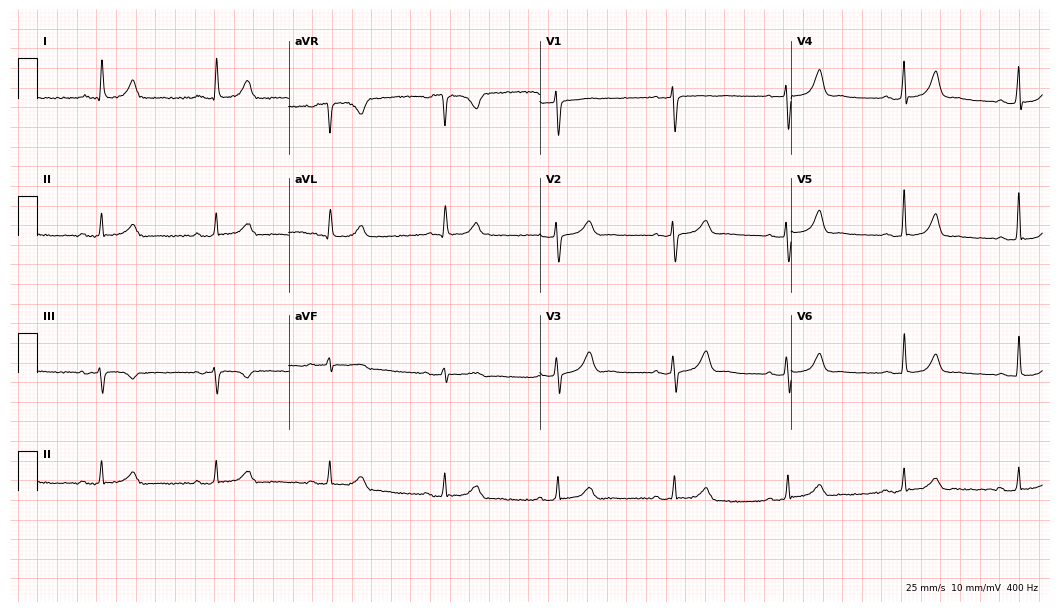
ECG — a female, 70 years old. Screened for six findings — first-degree AV block, right bundle branch block (RBBB), left bundle branch block (LBBB), sinus bradycardia, atrial fibrillation (AF), sinus tachycardia — none is recorded.